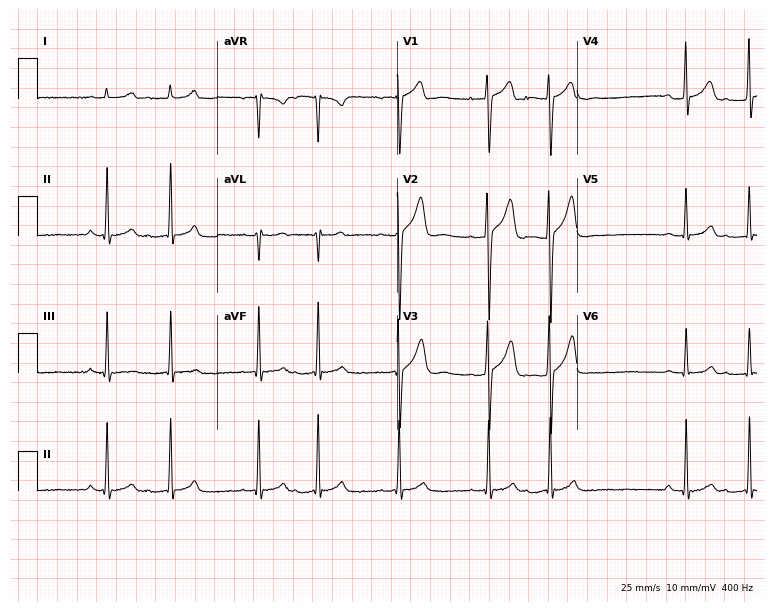
Electrocardiogram (7.3-second recording at 400 Hz), a 20-year-old male patient. Of the six screened findings (first-degree AV block, right bundle branch block (RBBB), left bundle branch block (LBBB), sinus bradycardia, atrial fibrillation (AF), sinus tachycardia), none is recorded.